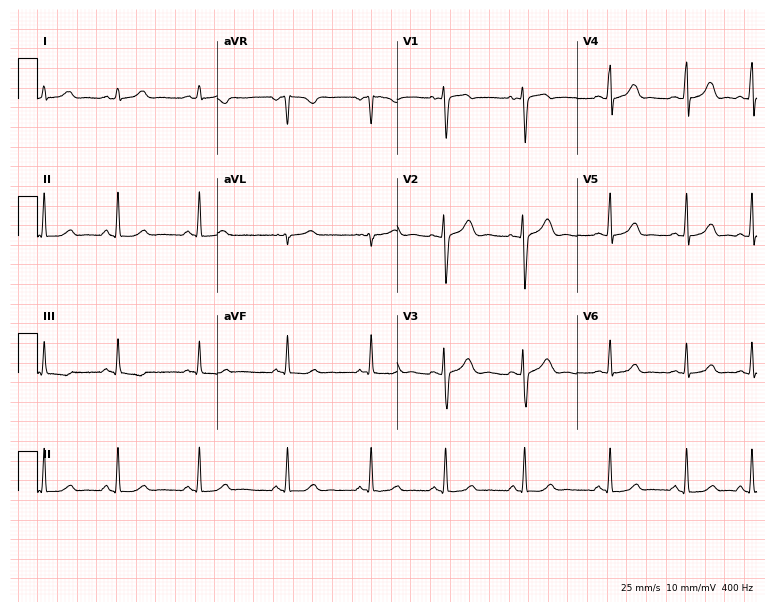
Electrocardiogram, a 17-year-old female. Overall reading on record: normal ECG.